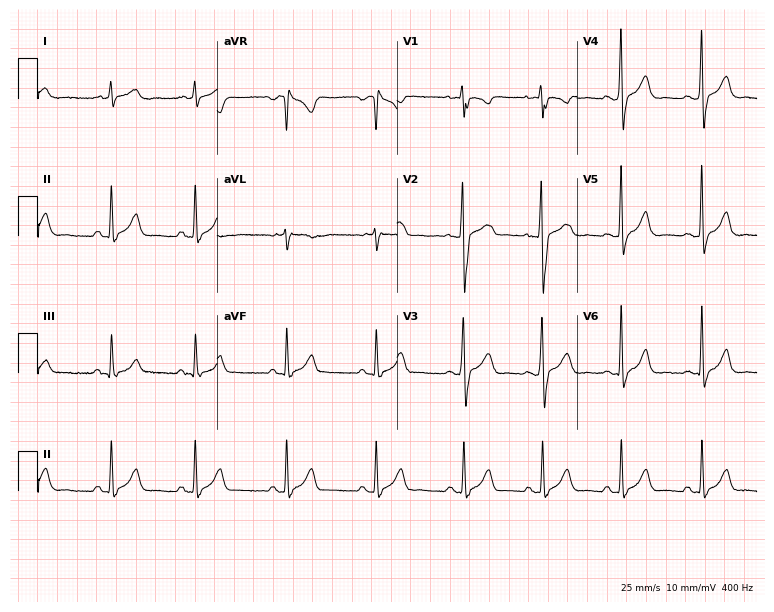
12-lead ECG from a 24-year-old male patient. Recorded interpretation: within normal limits.